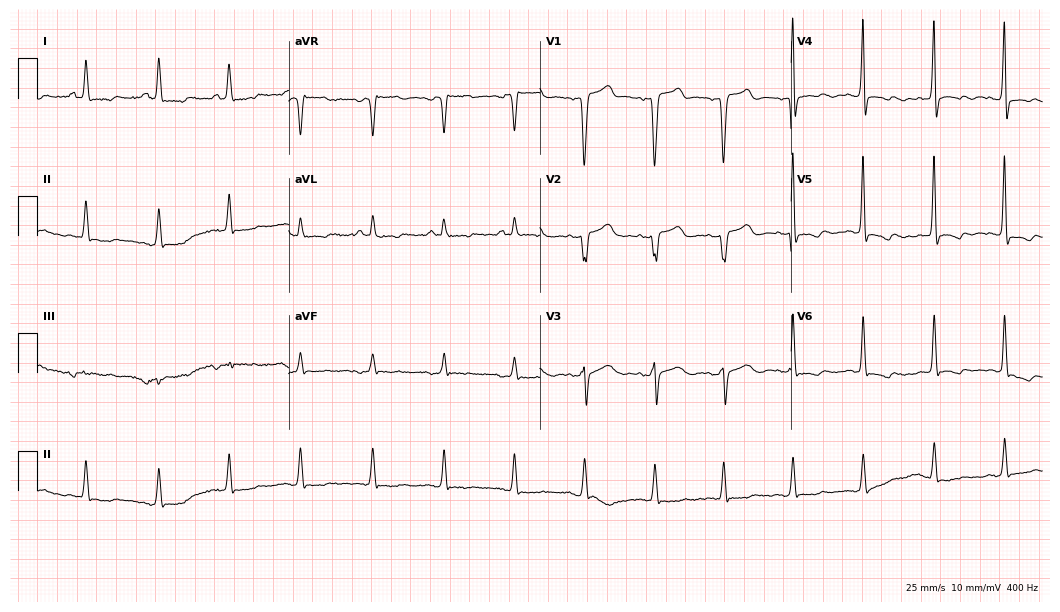
Resting 12-lead electrocardiogram. Patient: an 80-year-old female. None of these six findings is recorded: first-degree AV block, right bundle branch block, left bundle branch block, sinus bradycardia, atrial fibrillation, sinus tachycardia.